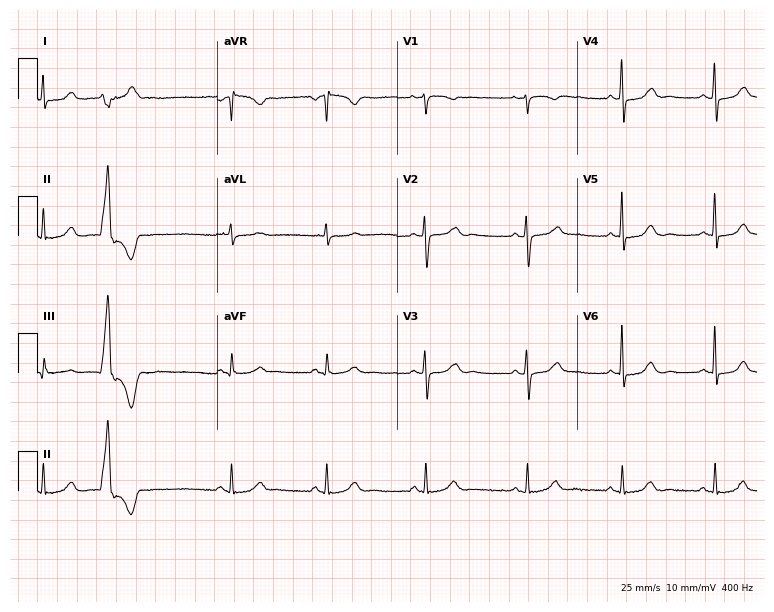
Resting 12-lead electrocardiogram (7.3-second recording at 400 Hz). Patient: a 50-year-old female. None of these six findings is recorded: first-degree AV block, right bundle branch block (RBBB), left bundle branch block (LBBB), sinus bradycardia, atrial fibrillation (AF), sinus tachycardia. Other findings, if any, are not listed.